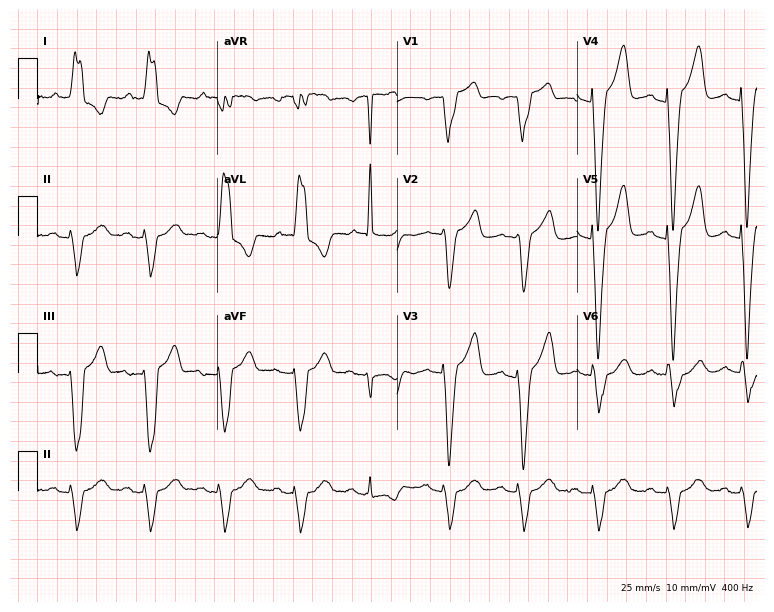
Resting 12-lead electrocardiogram (7.3-second recording at 400 Hz). Patient: a man, 81 years old. None of these six findings is recorded: first-degree AV block, right bundle branch block, left bundle branch block, sinus bradycardia, atrial fibrillation, sinus tachycardia. Findings outside these six are not listed.